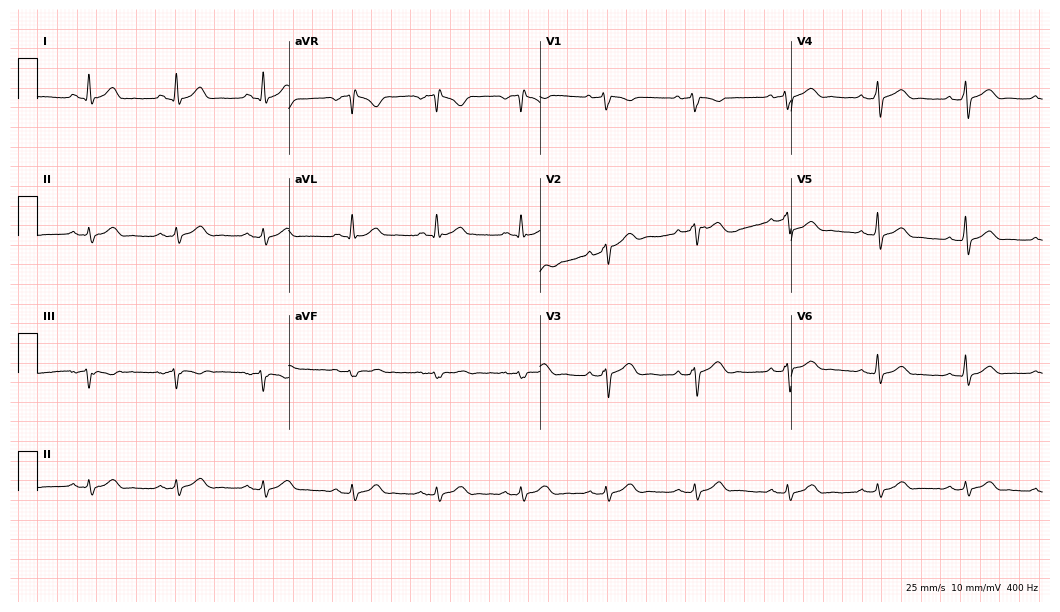
12-lead ECG from a 41-year-old man. No first-degree AV block, right bundle branch block (RBBB), left bundle branch block (LBBB), sinus bradycardia, atrial fibrillation (AF) or sinus tachycardia recorded for this tracing.